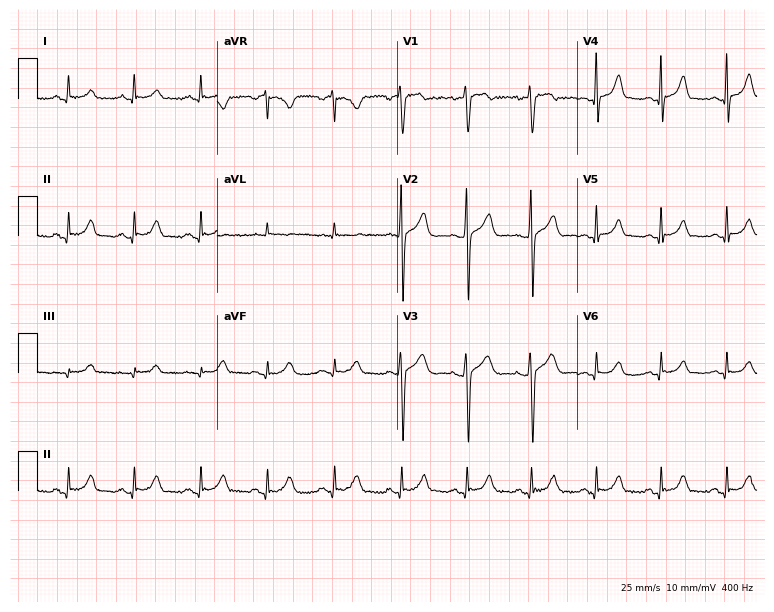
ECG — a 32-year-old man. Screened for six findings — first-degree AV block, right bundle branch block (RBBB), left bundle branch block (LBBB), sinus bradycardia, atrial fibrillation (AF), sinus tachycardia — none is recorded.